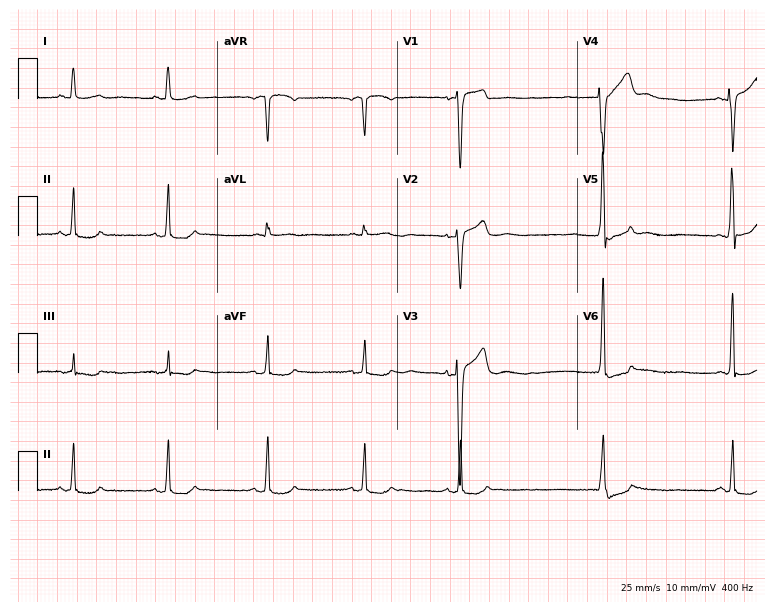
Resting 12-lead electrocardiogram. Patient: a female, 63 years old. None of these six findings is recorded: first-degree AV block, right bundle branch block, left bundle branch block, sinus bradycardia, atrial fibrillation, sinus tachycardia. Other findings, if any, are not listed.